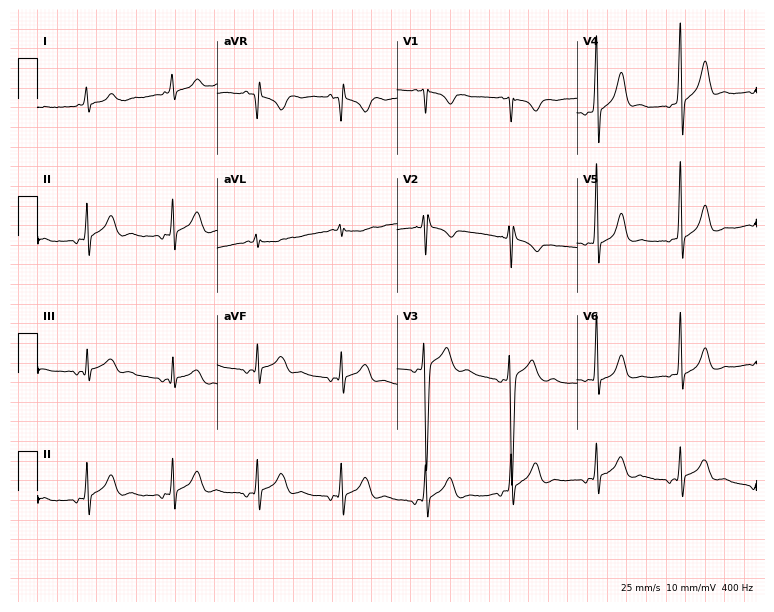
12-lead ECG from a 20-year-old male. No first-degree AV block, right bundle branch block (RBBB), left bundle branch block (LBBB), sinus bradycardia, atrial fibrillation (AF) or sinus tachycardia recorded for this tracing.